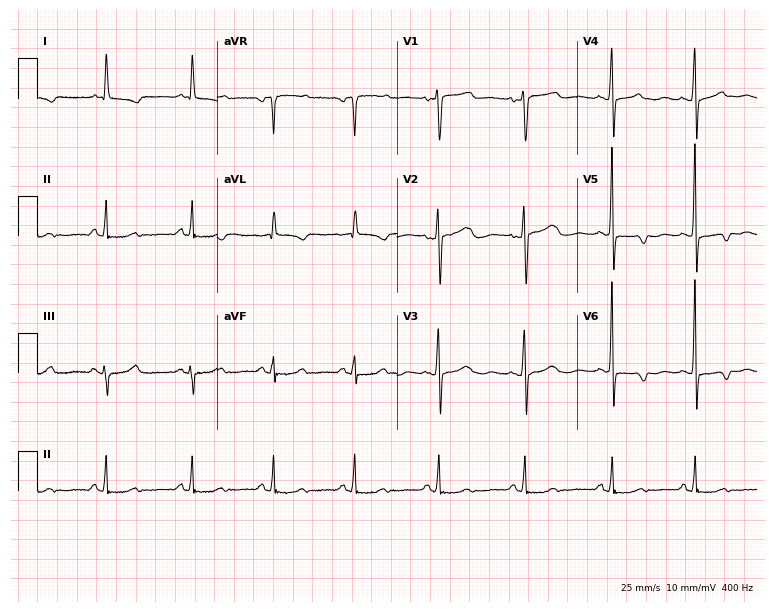
Resting 12-lead electrocardiogram. Patient: a female, 55 years old. None of these six findings is recorded: first-degree AV block, right bundle branch block (RBBB), left bundle branch block (LBBB), sinus bradycardia, atrial fibrillation (AF), sinus tachycardia.